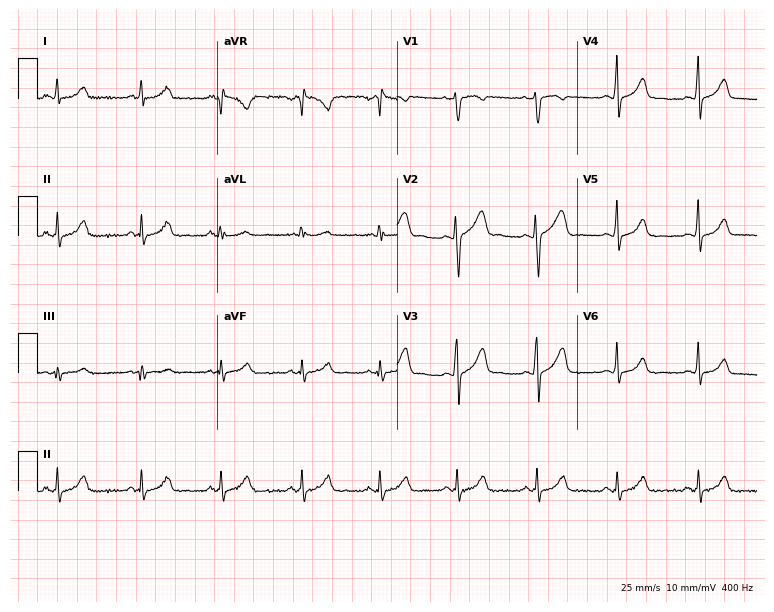
ECG — a 31-year-old female patient. Labelled as a normal ECG.